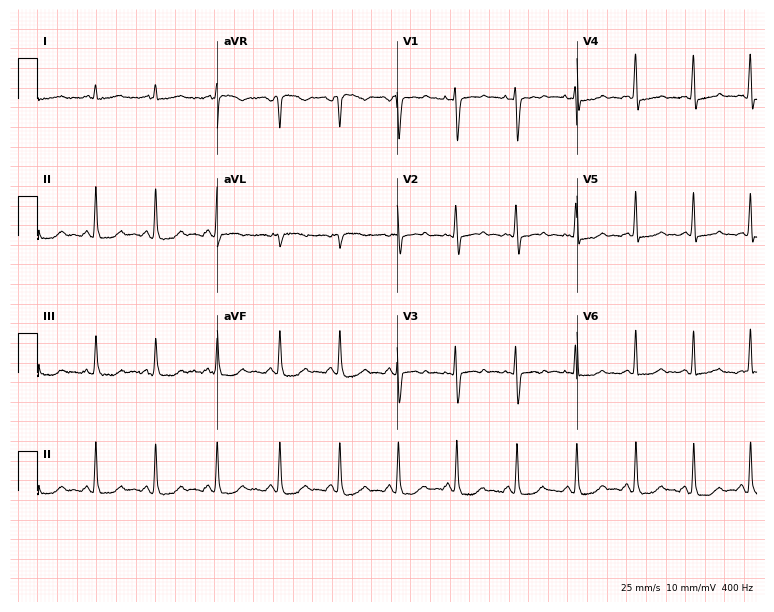
ECG — a 35-year-old female. Screened for six findings — first-degree AV block, right bundle branch block, left bundle branch block, sinus bradycardia, atrial fibrillation, sinus tachycardia — none is recorded. Findings outside these six are not listed.